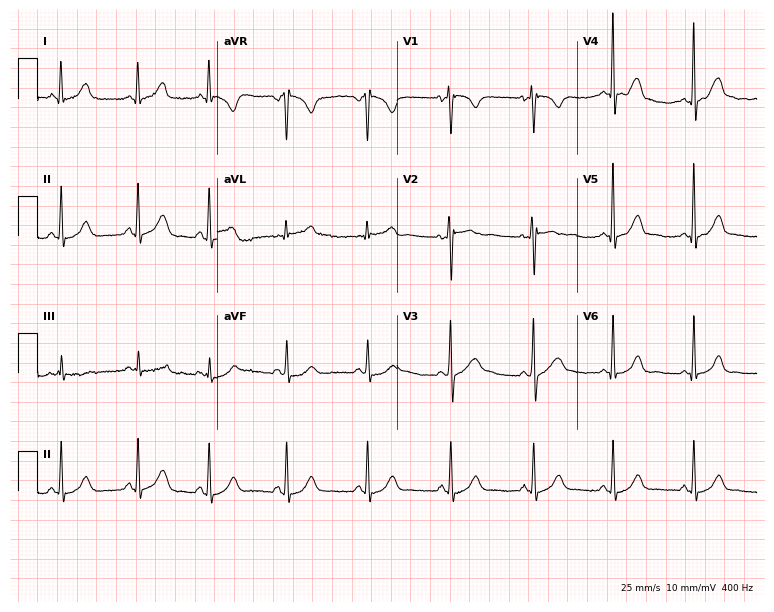
12-lead ECG from a 28-year-old female. Labelled as a normal ECG.